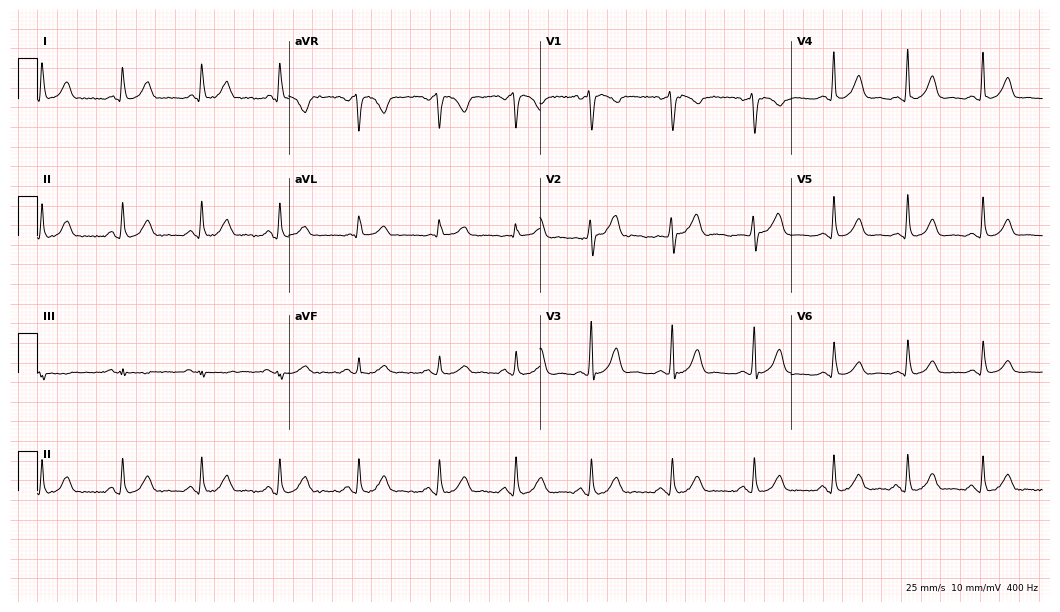
ECG (10.2-second recording at 400 Hz) — a female patient, 38 years old. Labelled as a normal ECG.